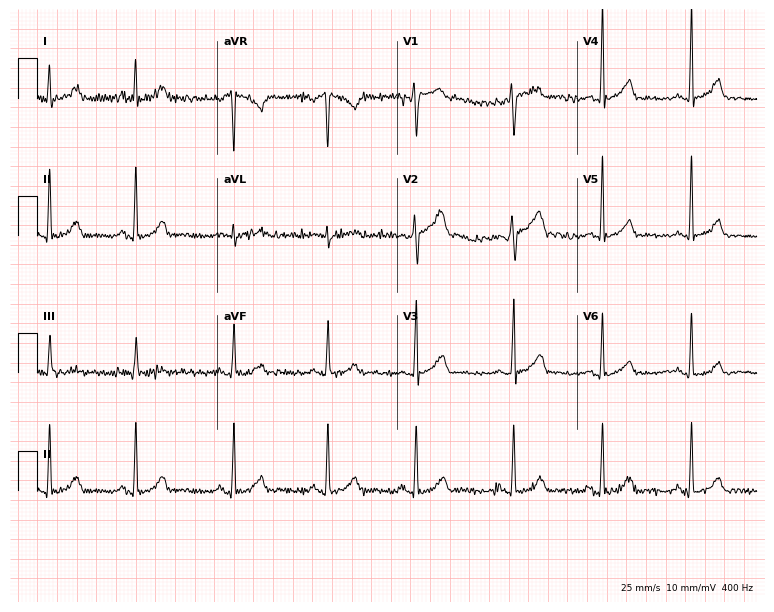
ECG (7.3-second recording at 400 Hz) — a female, 34 years old. Labelled as a normal ECG.